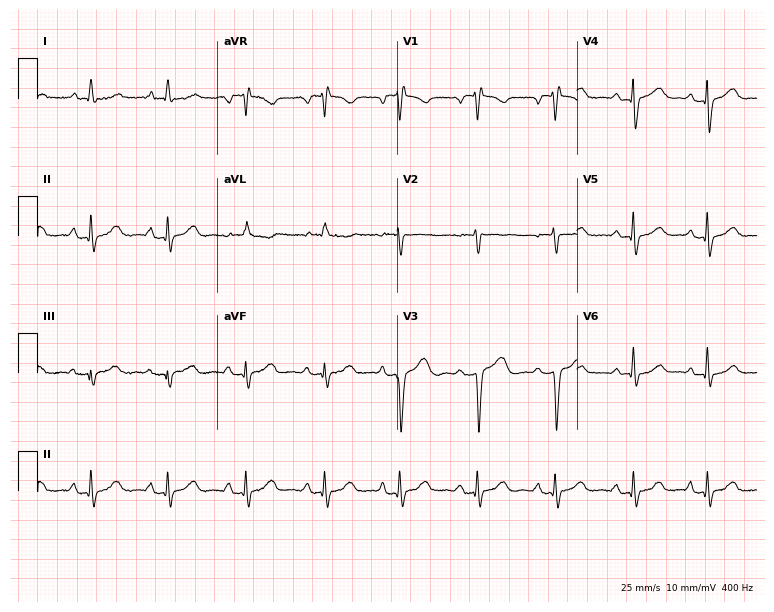
Resting 12-lead electrocardiogram (7.3-second recording at 400 Hz). Patient: an 83-year-old female. Read as a normal ECG.